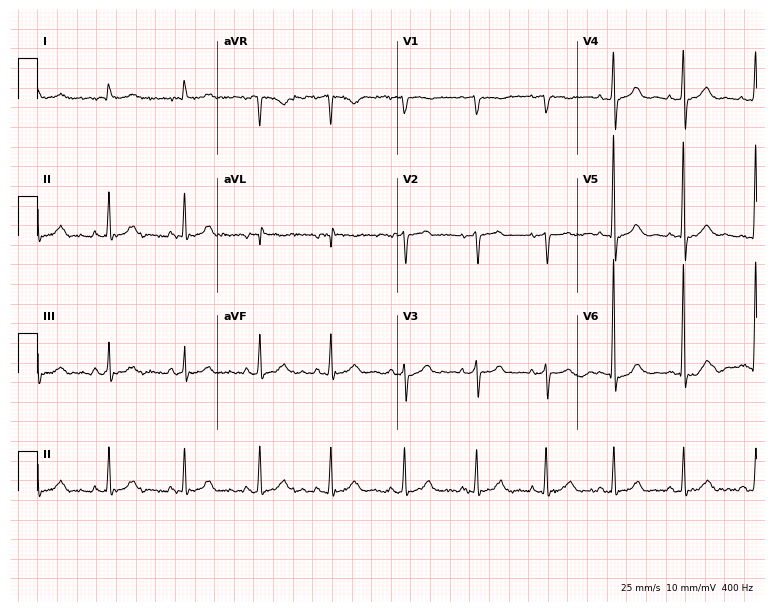
12-lead ECG from a 63-year-old female (7.3-second recording at 400 Hz). No first-degree AV block, right bundle branch block, left bundle branch block, sinus bradycardia, atrial fibrillation or sinus tachycardia recorded for this tracing.